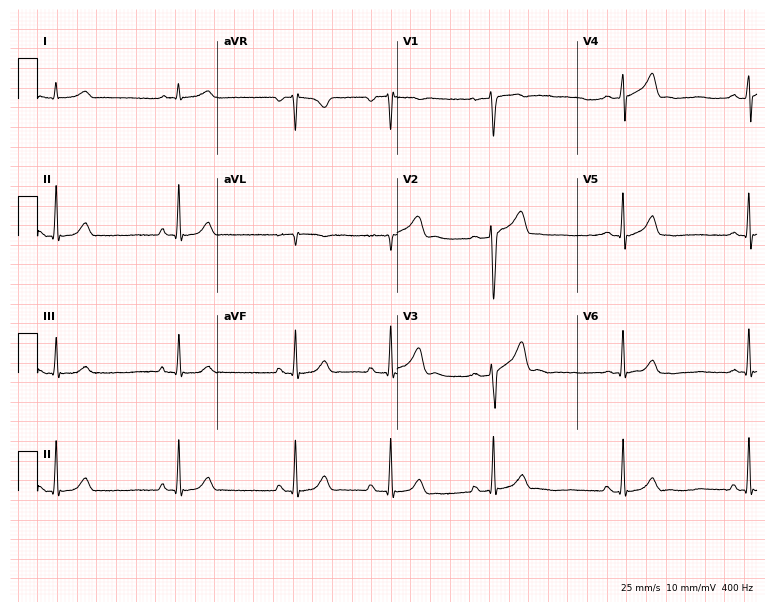
Electrocardiogram (7.3-second recording at 400 Hz), a male, 28 years old. Of the six screened findings (first-degree AV block, right bundle branch block (RBBB), left bundle branch block (LBBB), sinus bradycardia, atrial fibrillation (AF), sinus tachycardia), none is recorded.